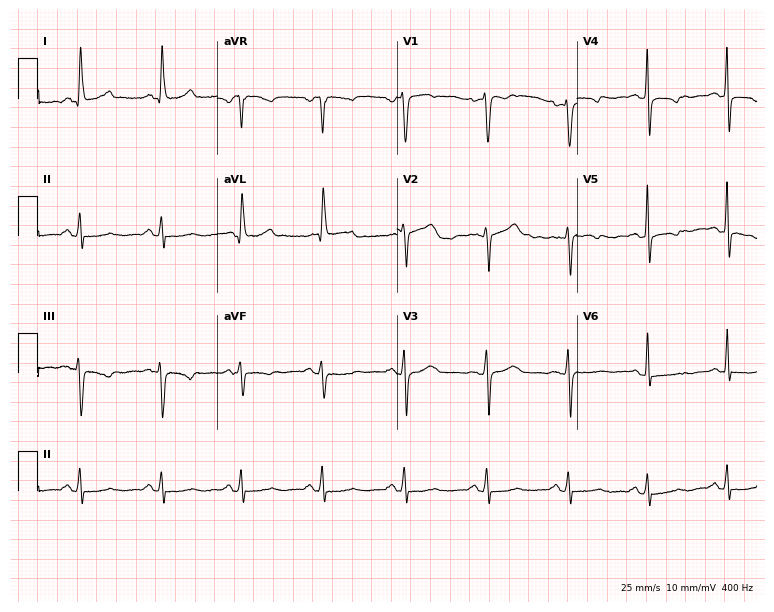
Standard 12-lead ECG recorded from a 58-year-old female (7.3-second recording at 400 Hz). None of these six findings is recorded: first-degree AV block, right bundle branch block, left bundle branch block, sinus bradycardia, atrial fibrillation, sinus tachycardia.